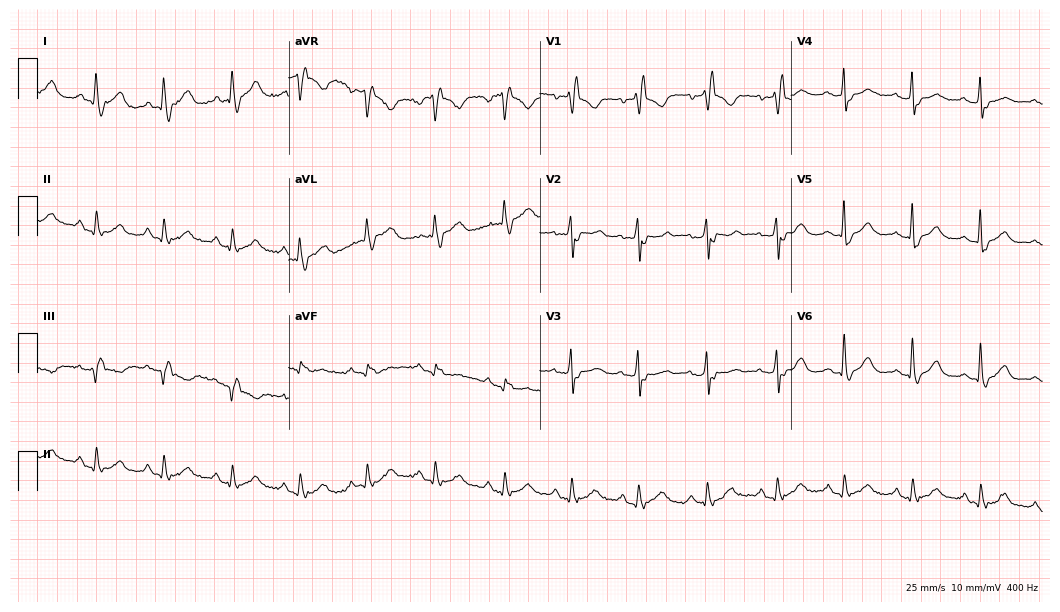
12-lead ECG (10.2-second recording at 400 Hz) from a 62-year-old woman. Findings include right bundle branch block.